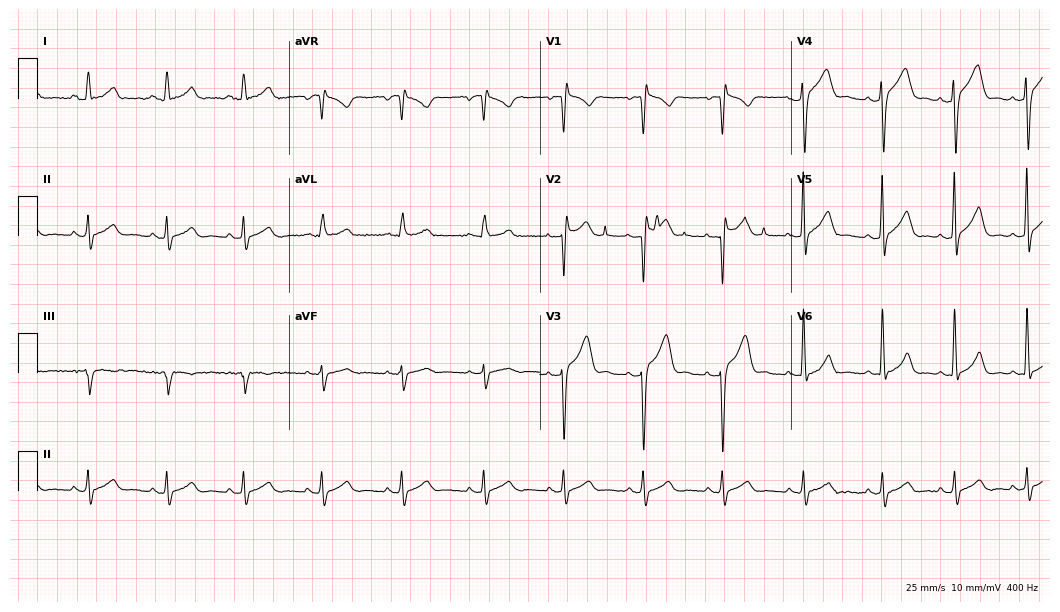
Standard 12-lead ECG recorded from a male, 26 years old. None of these six findings is recorded: first-degree AV block, right bundle branch block, left bundle branch block, sinus bradycardia, atrial fibrillation, sinus tachycardia. Only these six findings were labelled.